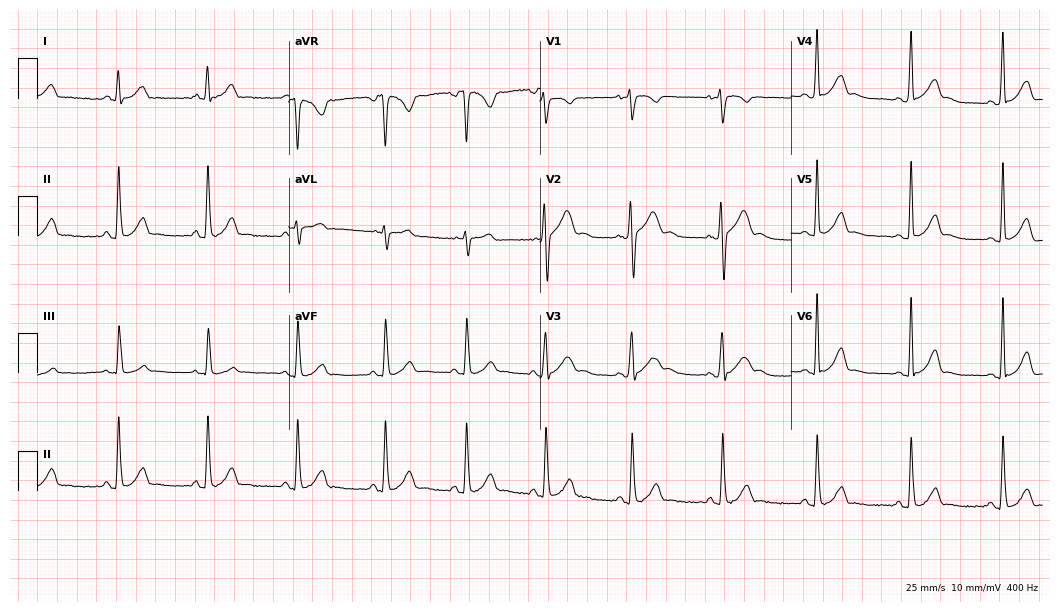
12-lead ECG (10.2-second recording at 400 Hz) from a man, 24 years old. Labelled as a normal ECG.